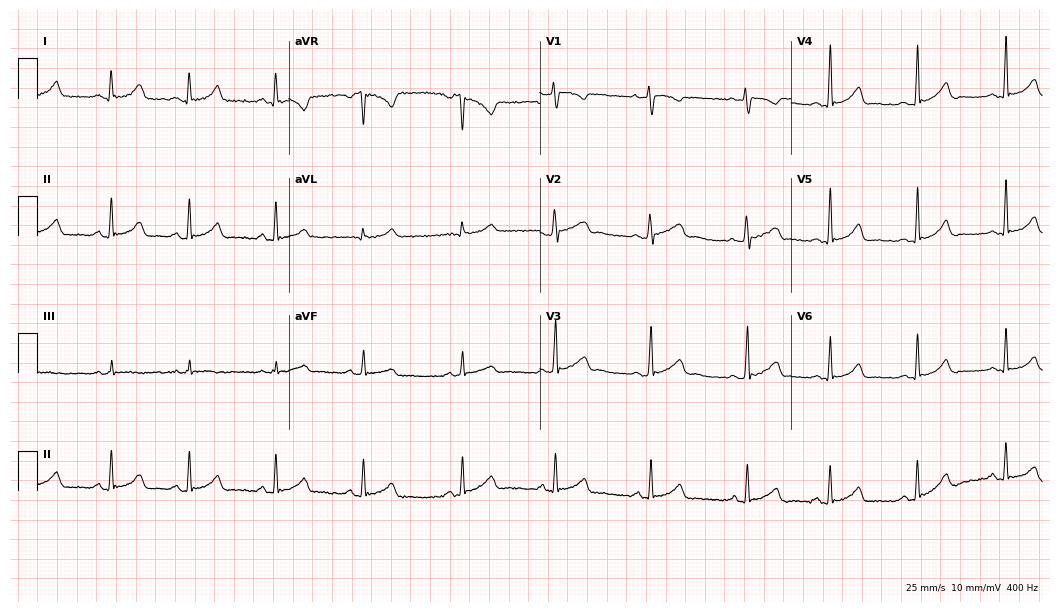
12-lead ECG from a 22-year-old male patient. Labelled as a normal ECG.